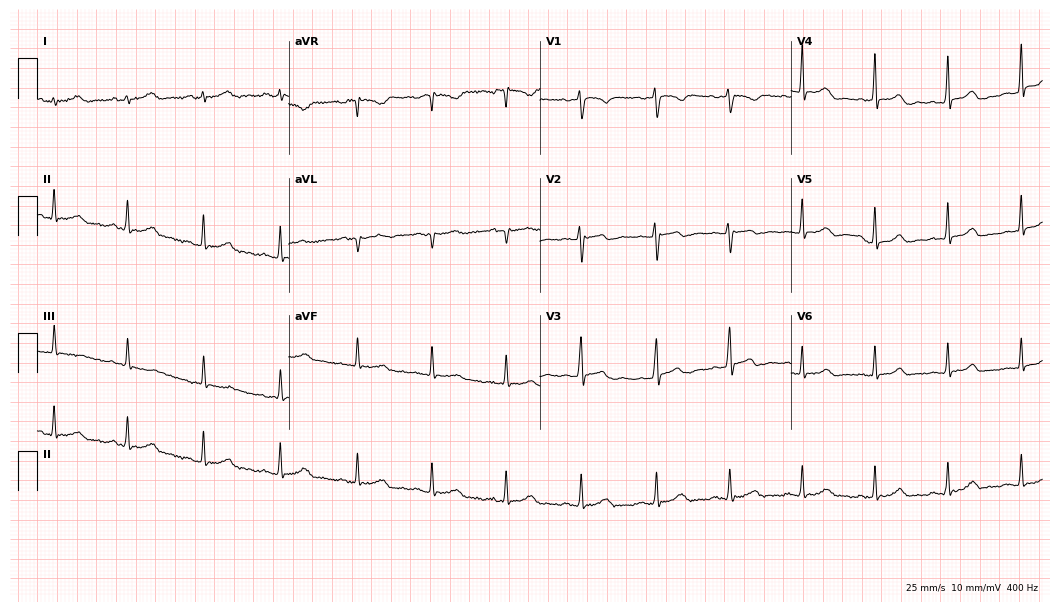
12-lead ECG from a 31-year-old female (10.2-second recording at 400 Hz). Recorded interpretation: within normal limits.